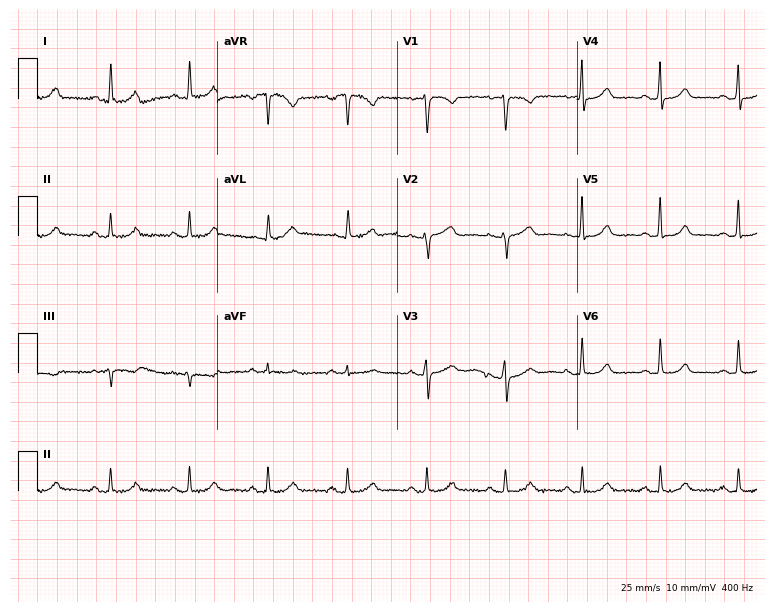
Electrocardiogram (7.3-second recording at 400 Hz), a female patient, 62 years old. Overall reading on record: normal ECG.